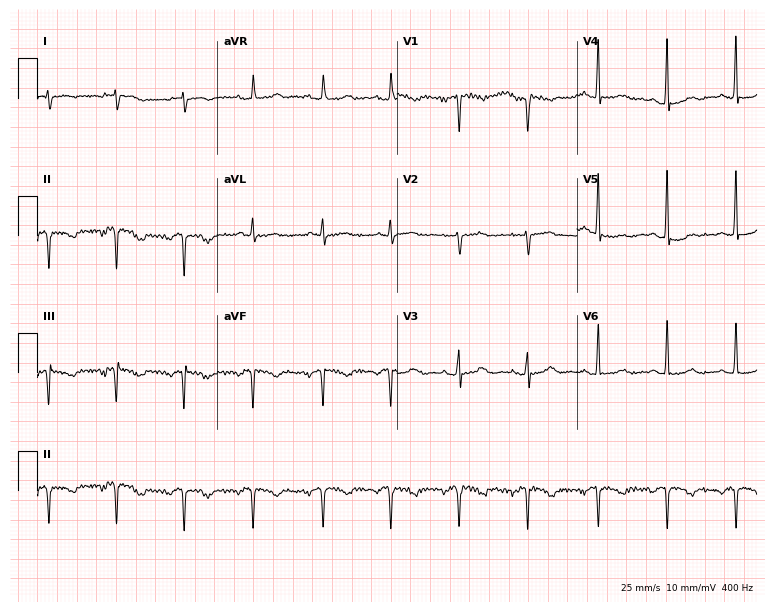
12-lead ECG (7.3-second recording at 400 Hz) from a female patient, 77 years old. Screened for six findings — first-degree AV block, right bundle branch block (RBBB), left bundle branch block (LBBB), sinus bradycardia, atrial fibrillation (AF), sinus tachycardia — none is recorded.